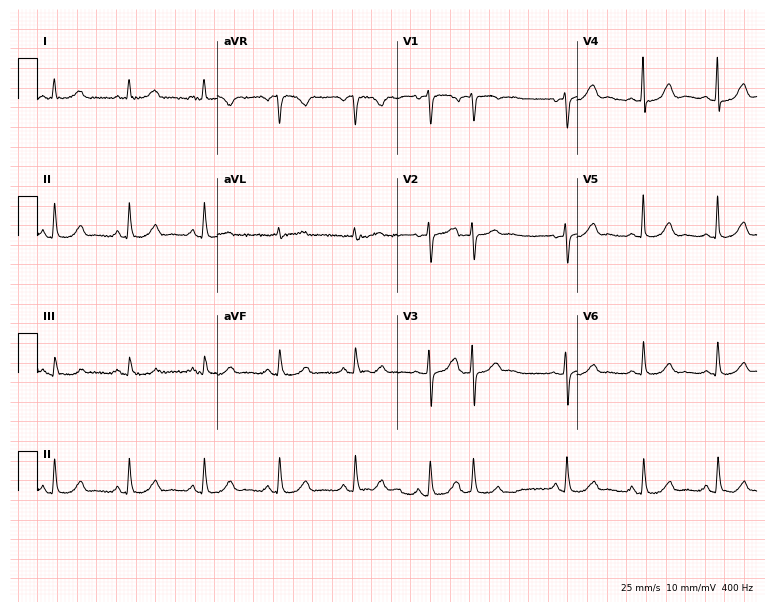
Electrocardiogram, a 70-year-old female. Overall reading on record: normal ECG.